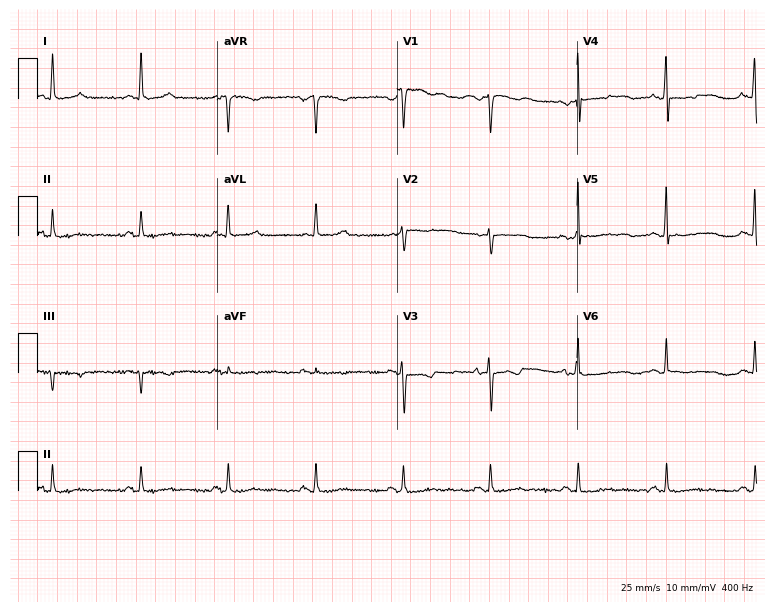
Resting 12-lead electrocardiogram (7.3-second recording at 400 Hz). Patient: a 54-year-old female. None of these six findings is recorded: first-degree AV block, right bundle branch block, left bundle branch block, sinus bradycardia, atrial fibrillation, sinus tachycardia. Findings outside these six are not listed.